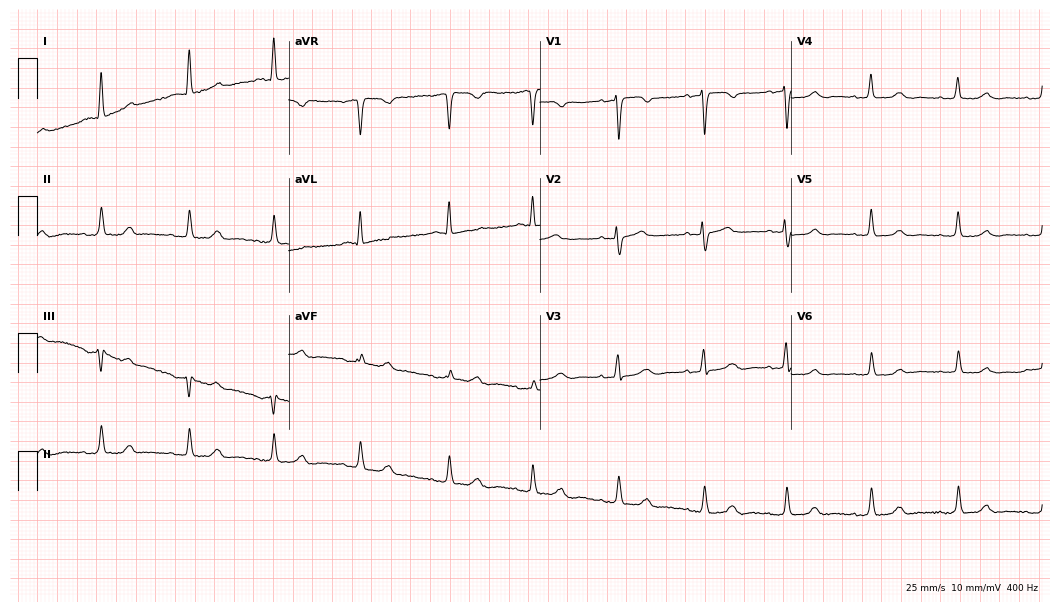
Electrocardiogram (10.2-second recording at 400 Hz), a female patient, 67 years old. Of the six screened findings (first-degree AV block, right bundle branch block (RBBB), left bundle branch block (LBBB), sinus bradycardia, atrial fibrillation (AF), sinus tachycardia), none is recorded. Findings outside these six are not listed.